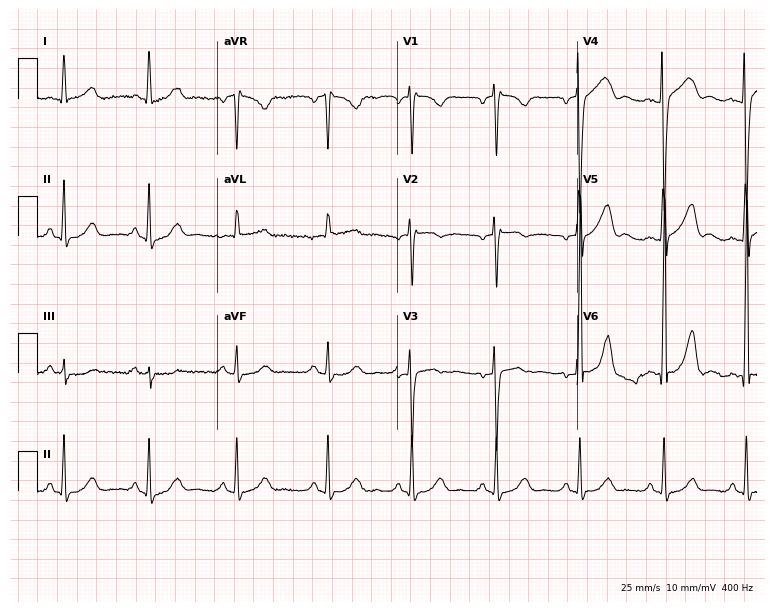
12-lead ECG from a female patient, 60 years old (7.3-second recording at 400 Hz). No first-degree AV block, right bundle branch block, left bundle branch block, sinus bradycardia, atrial fibrillation or sinus tachycardia recorded for this tracing.